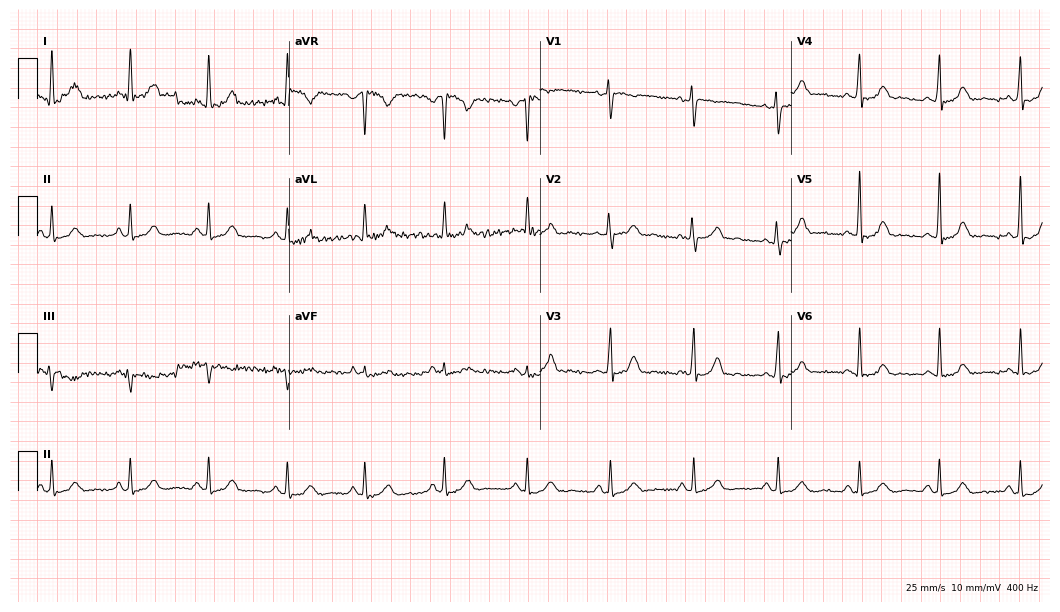
12-lead ECG (10.2-second recording at 400 Hz) from a female patient, 47 years old. Screened for six findings — first-degree AV block, right bundle branch block, left bundle branch block, sinus bradycardia, atrial fibrillation, sinus tachycardia — none is recorded.